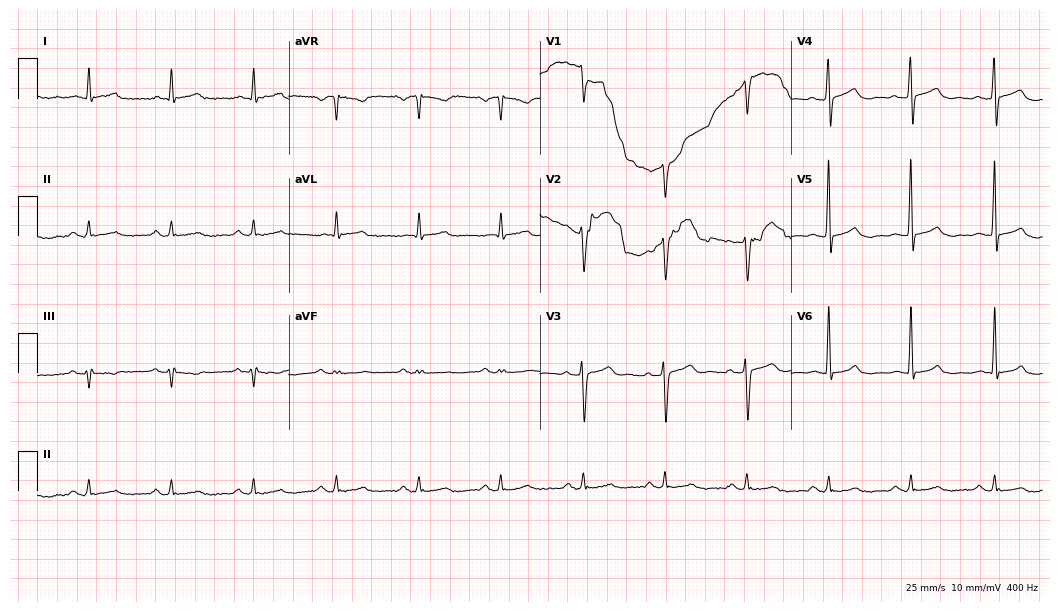
Resting 12-lead electrocardiogram (10.2-second recording at 400 Hz). Patient: a male, 59 years old. None of these six findings is recorded: first-degree AV block, right bundle branch block (RBBB), left bundle branch block (LBBB), sinus bradycardia, atrial fibrillation (AF), sinus tachycardia. Findings outside these six are not listed.